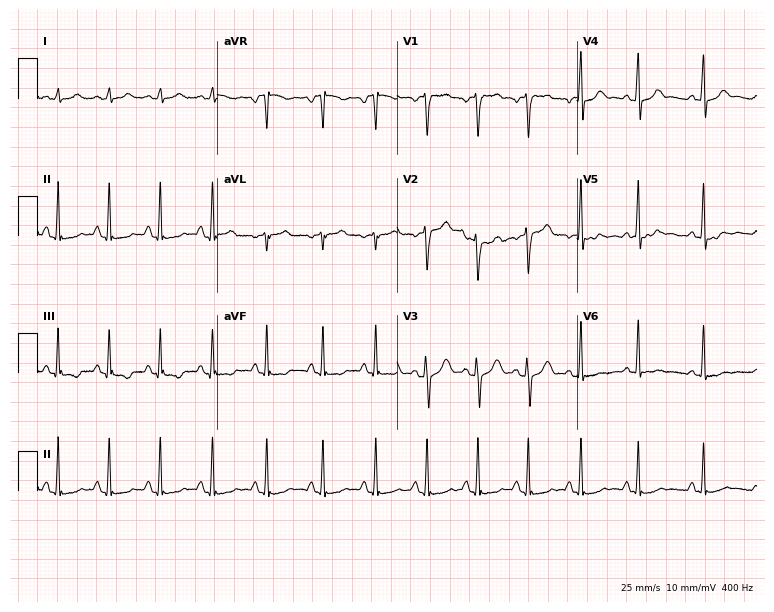
Resting 12-lead electrocardiogram. Patient: a woman, 28 years old. The tracing shows sinus tachycardia (a sinus rate of 100 beats per minute or more).